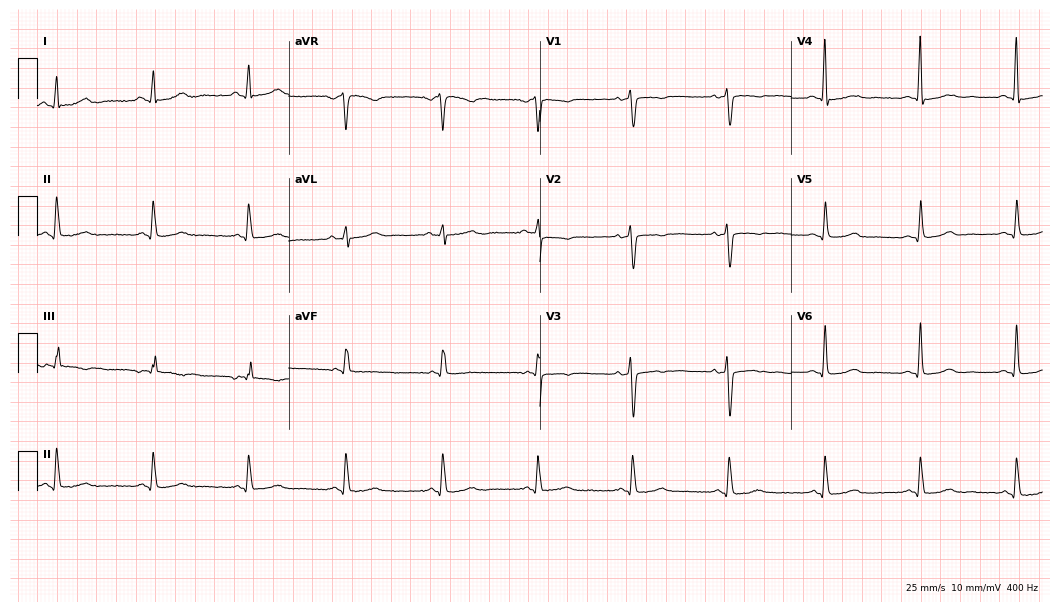
Electrocardiogram, a woman, 56 years old. Overall reading on record: normal ECG.